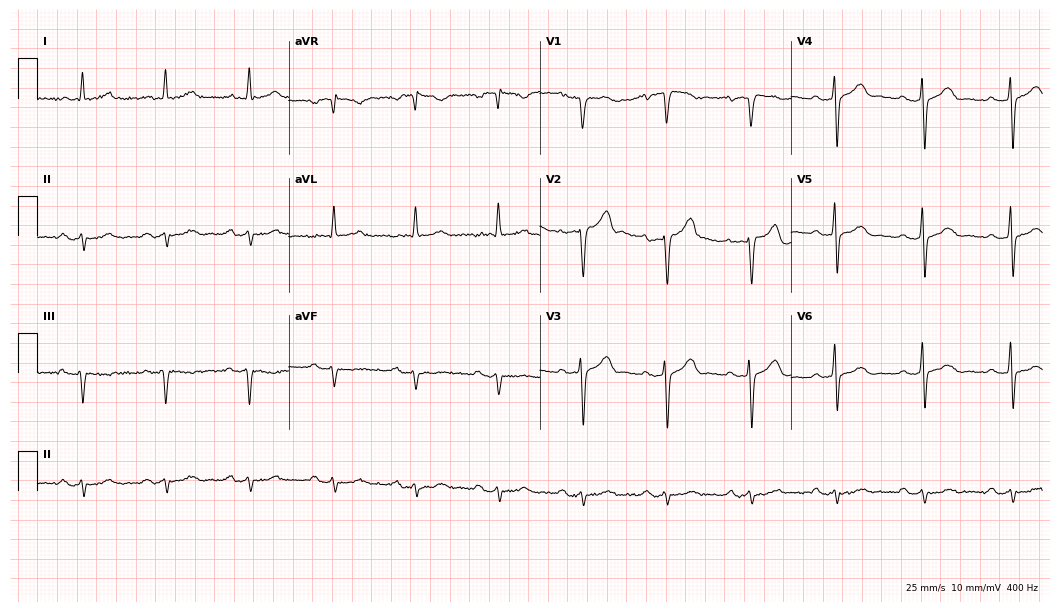
Standard 12-lead ECG recorded from a 74-year-old man (10.2-second recording at 400 Hz). None of these six findings is recorded: first-degree AV block, right bundle branch block, left bundle branch block, sinus bradycardia, atrial fibrillation, sinus tachycardia. Other findings, if any, are not listed.